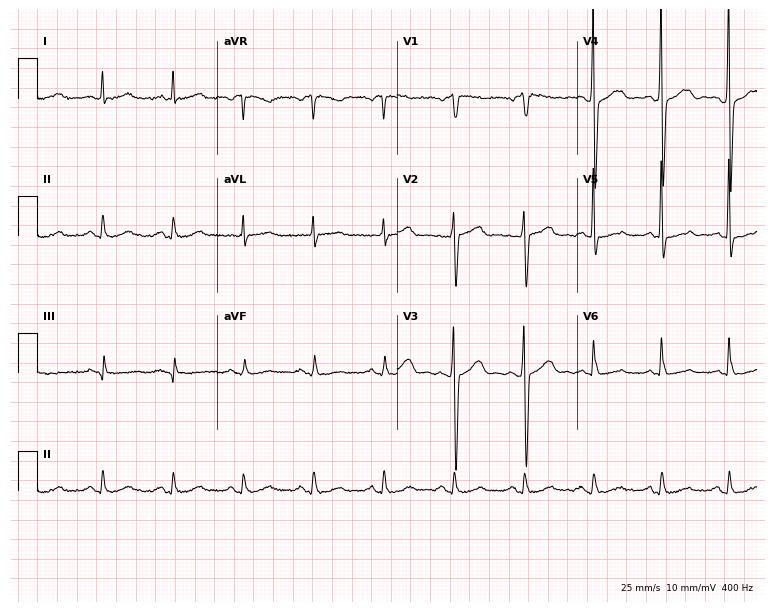
ECG — a male patient, 62 years old. Labelled as a normal ECG.